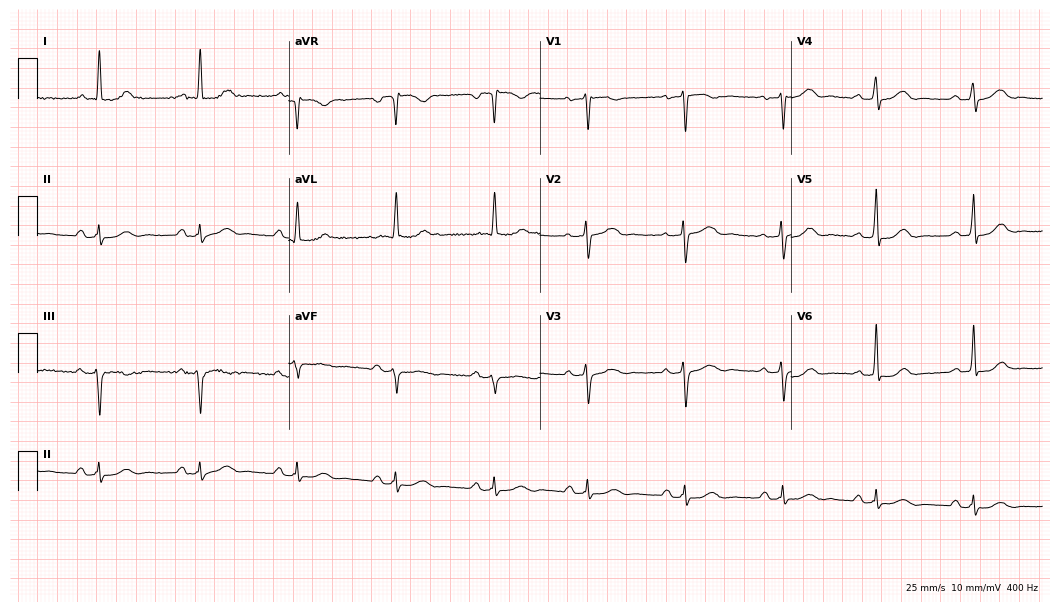
Standard 12-lead ECG recorded from a 68-year-old female. None of these six findings is recorded: first-degree AV block, right bundle branch block, left bundle branch block, sinus bradycardia, atrial fibrillation, sinus tachycardia.